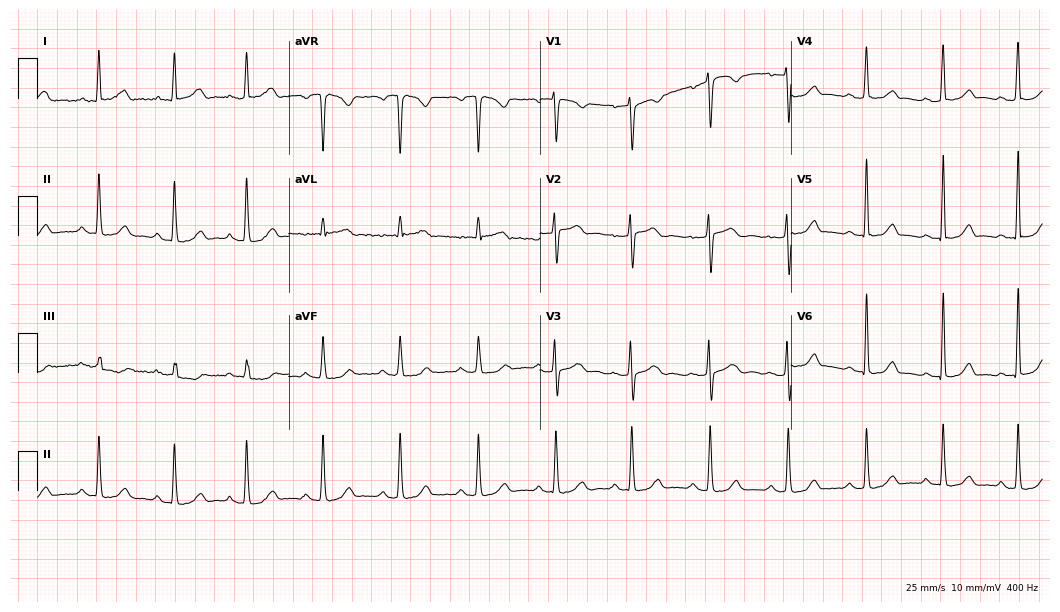
12-lead ECG from a 38-year-old woman. Recorded interpretation: within normal limits.